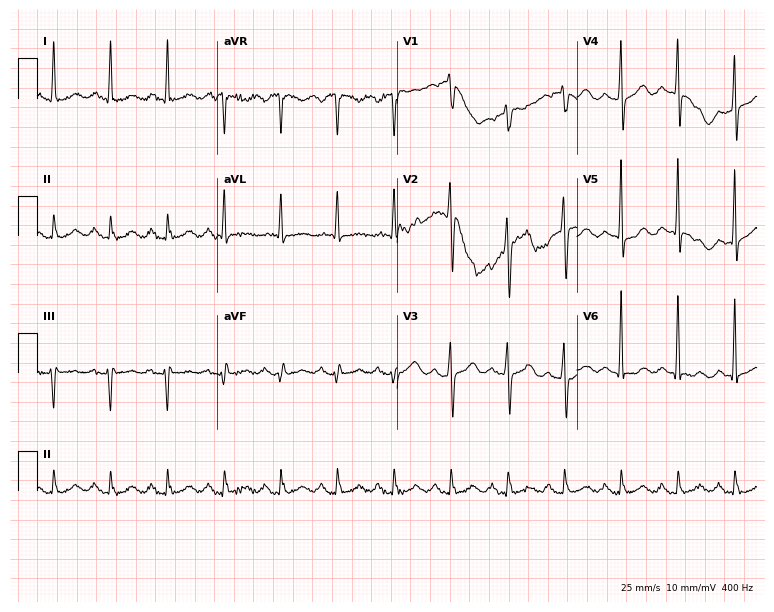
Standard 12-lead ECG recorded from a male, 77 years old (7.3-second recording at 400 Hz). The tracing shows sinus tachycardia (a sinus rate of 100 beats per minute or more).